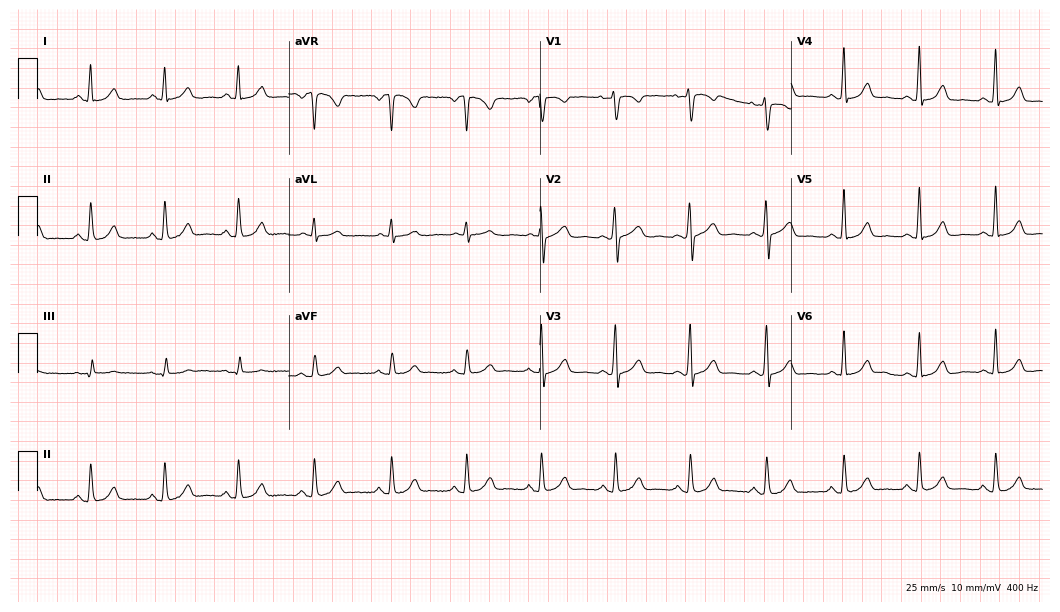
ECG — a woman, 43 years old. Labelled as a normal ECG.